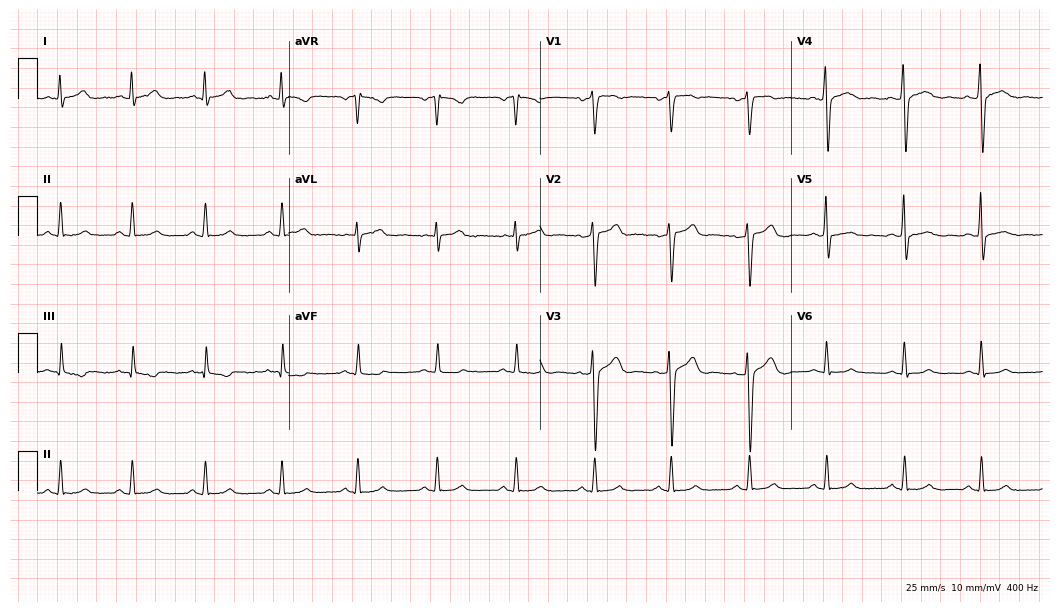
12-lead ECG from a 39-year-old male. No first-degree AV block, right bundle branch block, left bundle branch block, sinus bradycardia, atrial fibrillation or sinus tachycardia recorded for this tracing.